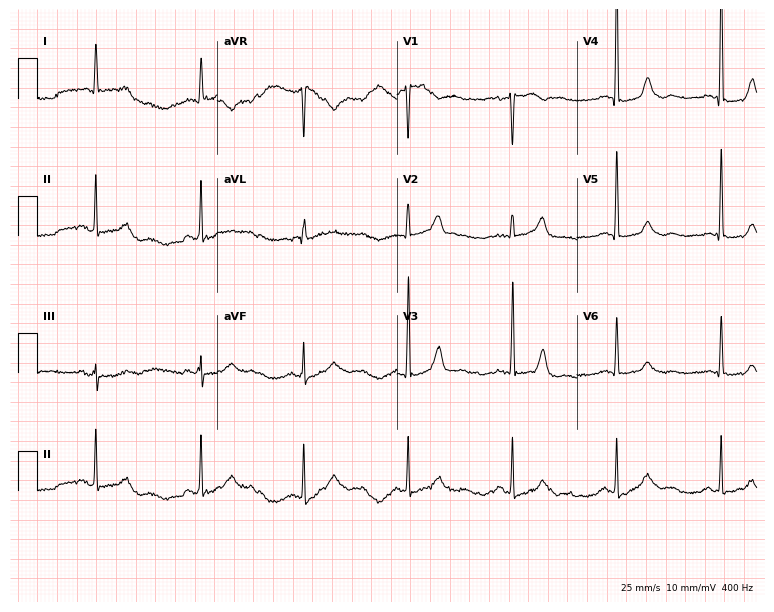
Resting 12-lead electrocardiogram. Patient: a 78-year-old female. None of these six findings is recorded: first-degree AV block, right bundle branch block, left bundle branch block, sinus bradycardia, atrial fibrillation, sinus tachycardia. Other findings, if any, are not listed.